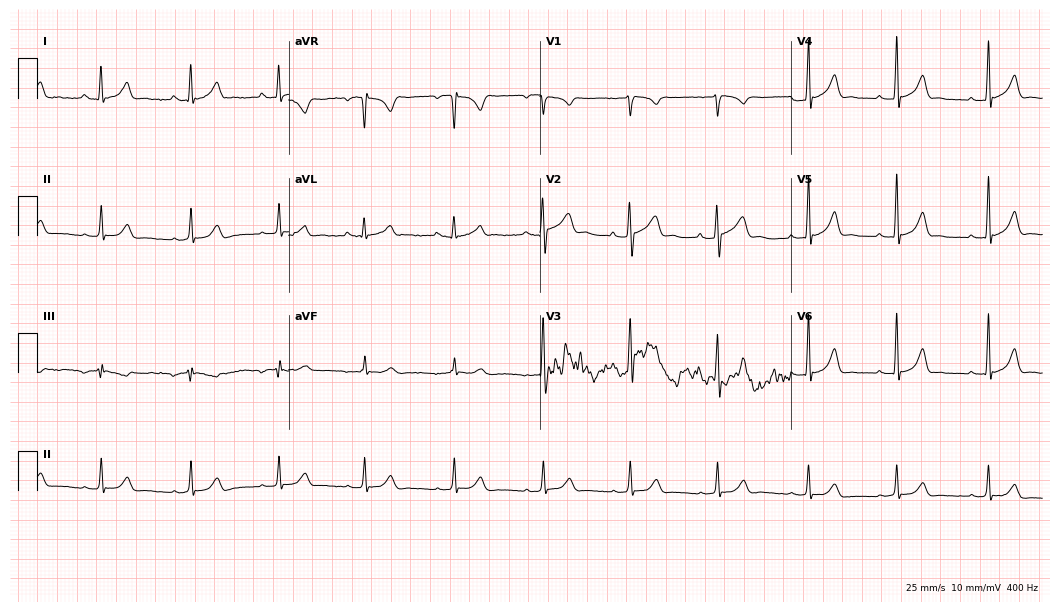
ECG (10.2-second recording at 400 Hz) — a female patient, 19 years old. Labelled as a normal ECG.